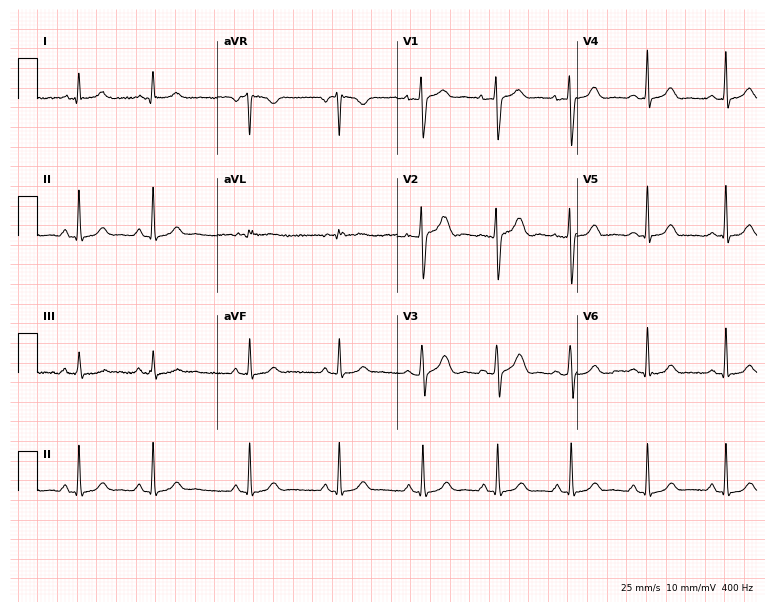
12-lead ECG from a 23-year-old female patient. Labelled as a normal ECG.